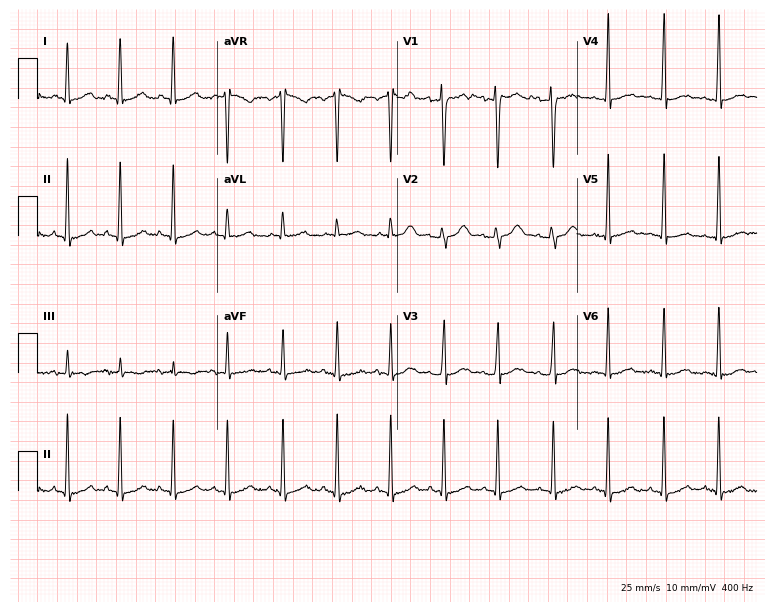
12-lead ECG from a female, 34 years old. Shows sinus tachycardia (a sinus rate of 100 beats per minute or more).